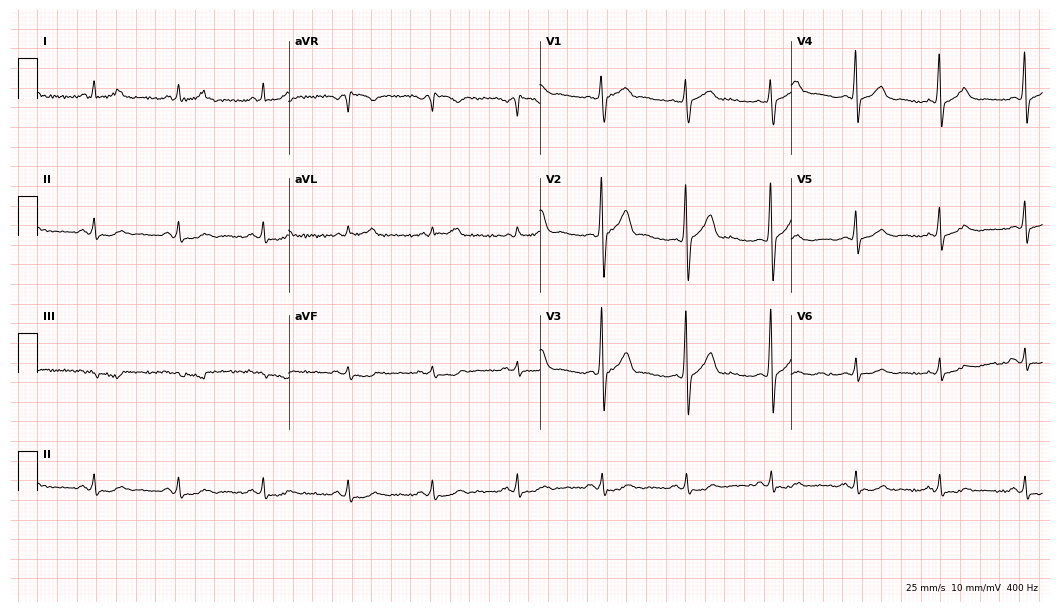
Resting 12-lead electrocardiogram. Patient: a male, 45 years old. None of these six findings is recorded: first-degree AV block, right bundle branch block, left bundle branch block, sinus bradycardia, atrial fibrillation, sinus tachycardia.